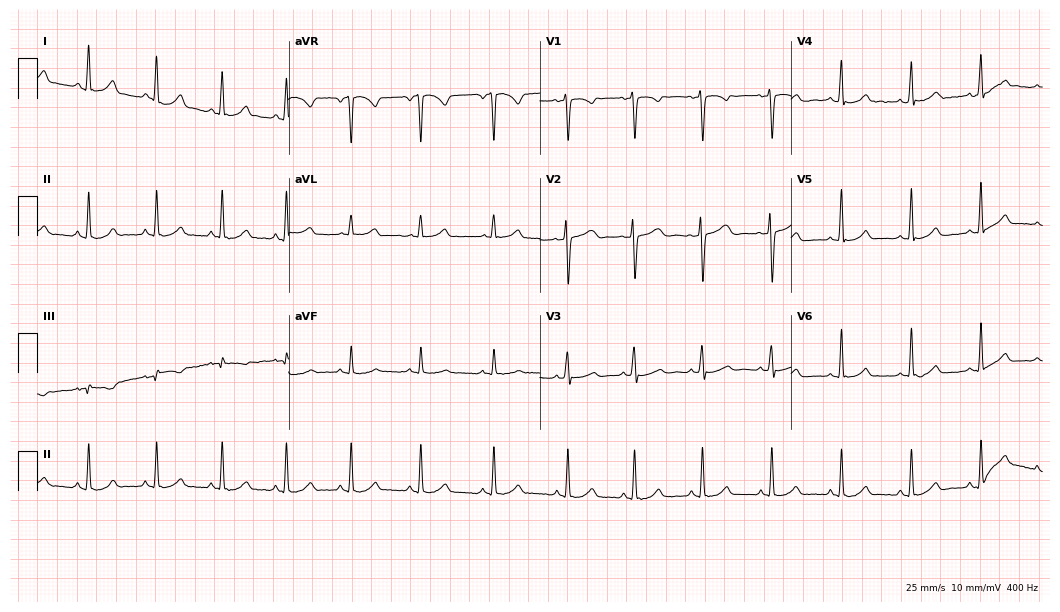
ECG — a 32-year-old female. Labelled as a normal ECG.